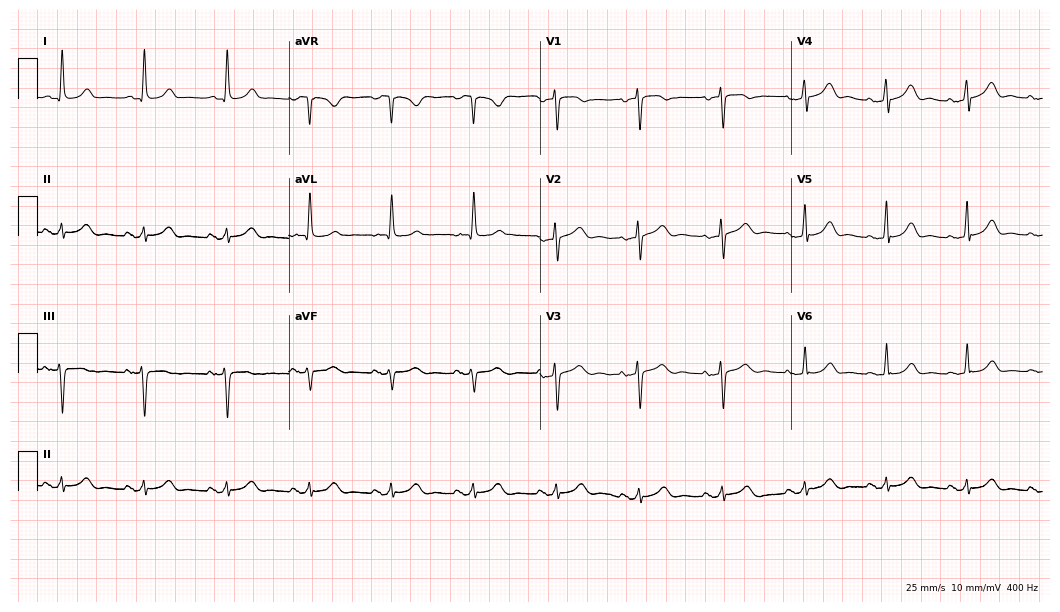
ECG (10.2-second recording at 400 Hz) — a 76-year-old woman. Labelled as a normal ECG.